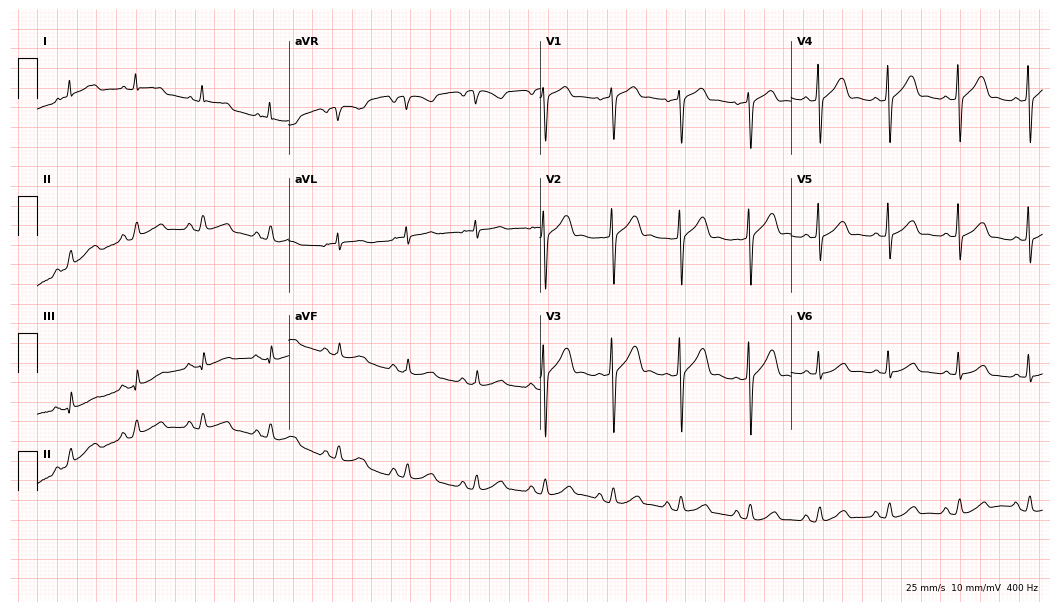
Standard 12-lead ECG recorded from a 68-year-old male (10.2-second recording at 400 Hz). Read as a normal ECG.